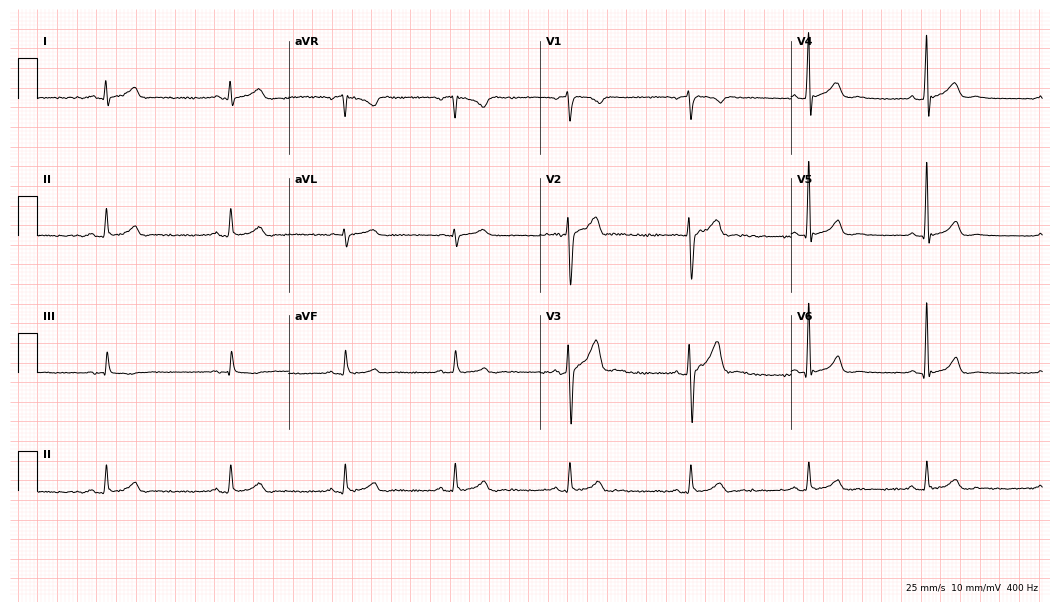
12-lead ECG from a 31-year-old male. Labelled as a normal ECG.